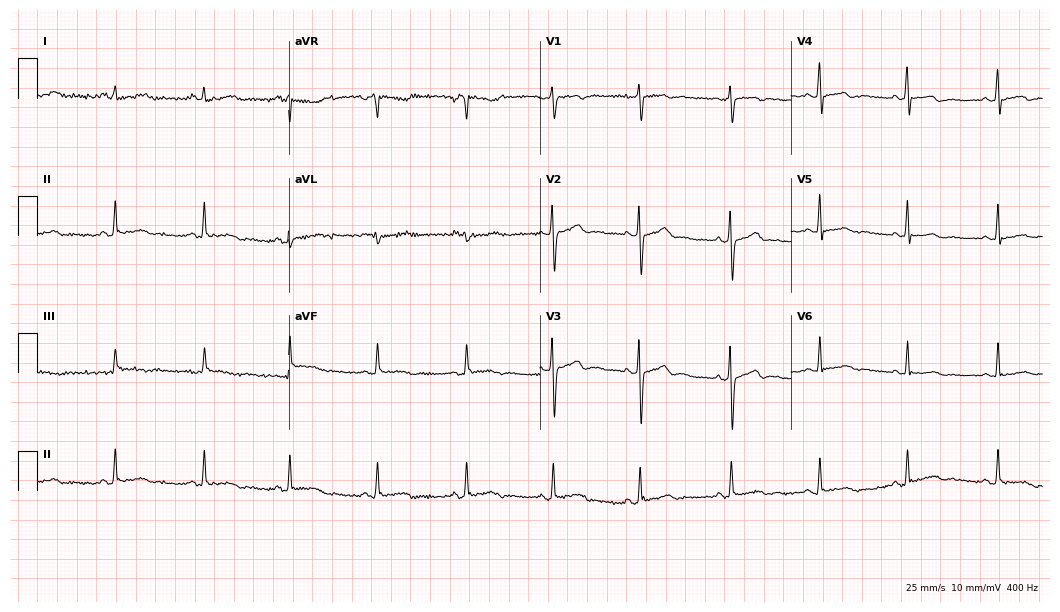
Resting 12-lead electrocardiogram (10.2-second recording at 400 Hz). Patient: a woman, 27 years old. Read as a normal ECG.